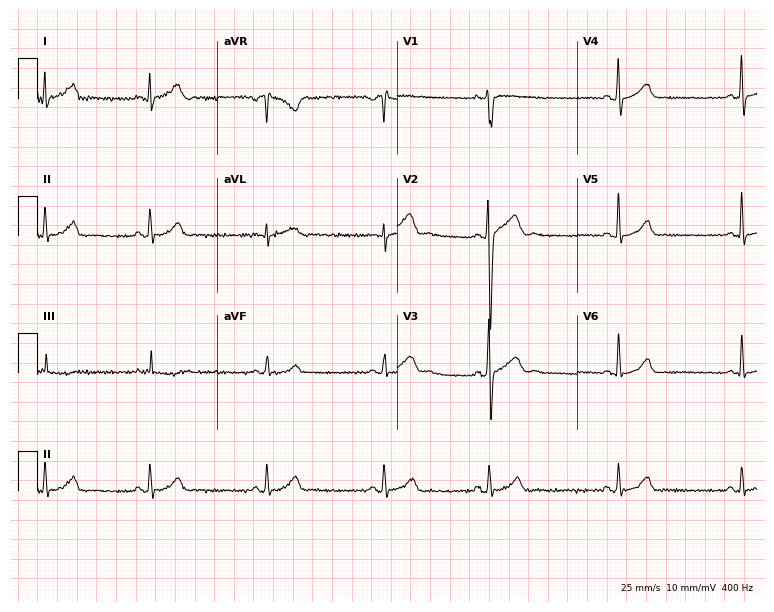
12-lead ECG from a man, 18 years old (7.3-second recording at 400 Hz). No first-degree AV block, right bundle branch block (RBBB), left bundle branch block (LBBB), sinus bradycardia, atrial fibrillation (AF) or sinus tachycardia recorded for this tracing.